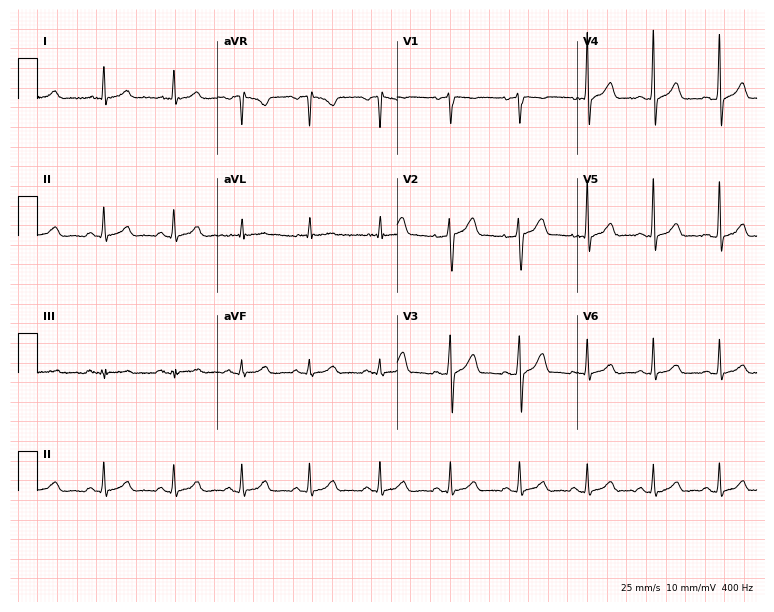
Electrocardiogram (7.3-second recording at 400 Hz), a 50-year-old man. Overall reading on record: normal ECG.